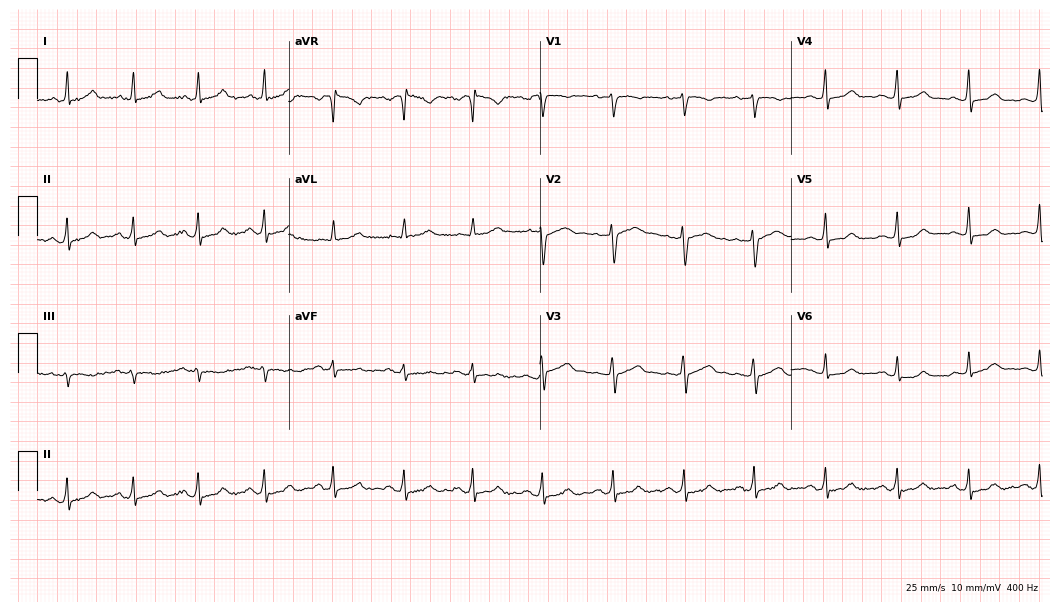
12-lead ECG from a 33-year-old female patient (10.2-second recording at 400 Hz). No first-degree AV block, right bundle branch block, left bundle branch block, sinus bradycardia, atrial fibrillation or sinus tachycardia recorded for this tracing. Only these six findings were labelled.